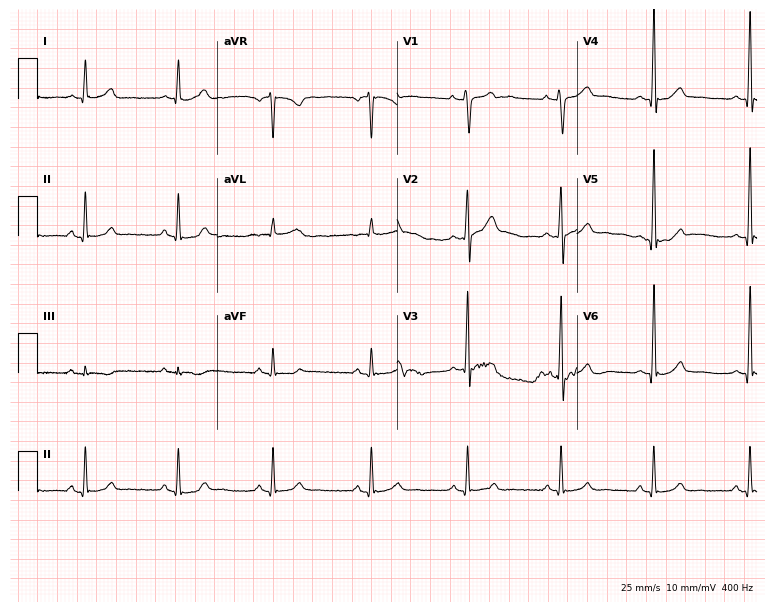
Resting 12-lead electrocardiogram (7.3-second recording at 400 Hz). Patient: a 42-year-old woman. Read as a normal ECG.